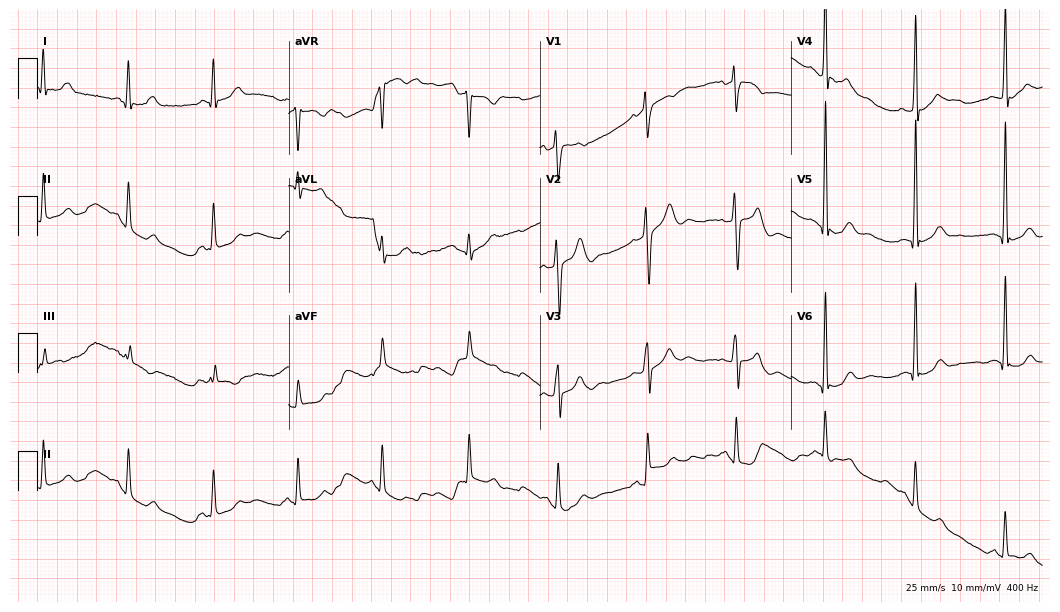
Resting 12-lead electrocardiogram. Patient: a 41-year-old male. None of these six findings is recorded: first-degree AV block, right bundle branch block, left bundle branch block, sinus bradycardia, atrial fibrillation, sinus tachycardia. Only these six findings were labelled.